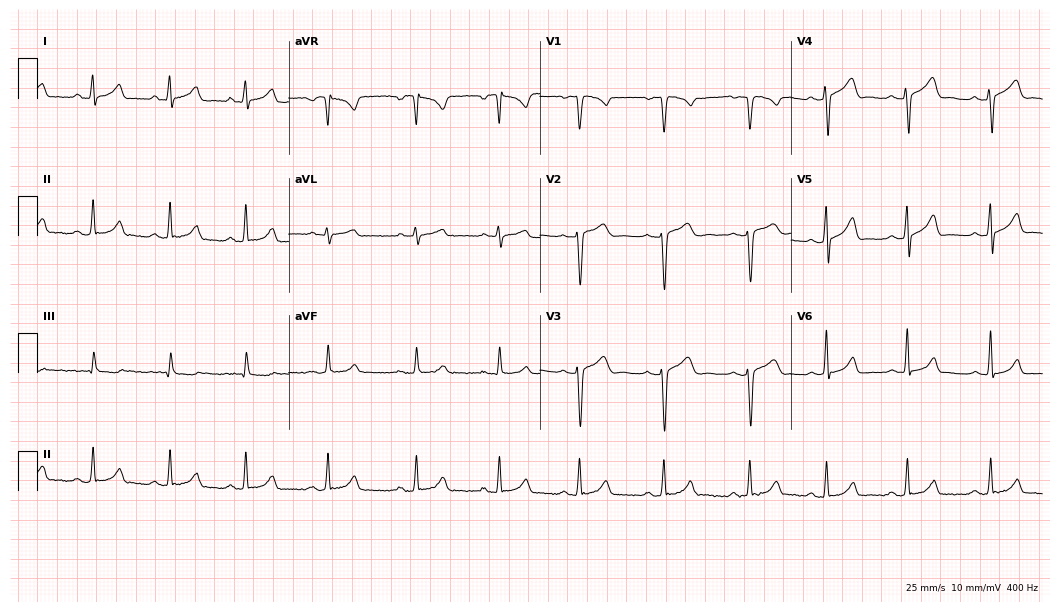
Resting 12-lead electrocardiogram (10.2-second recording at 400 Hz). Patient: a female, 25 years old. Read as a normal ECG.